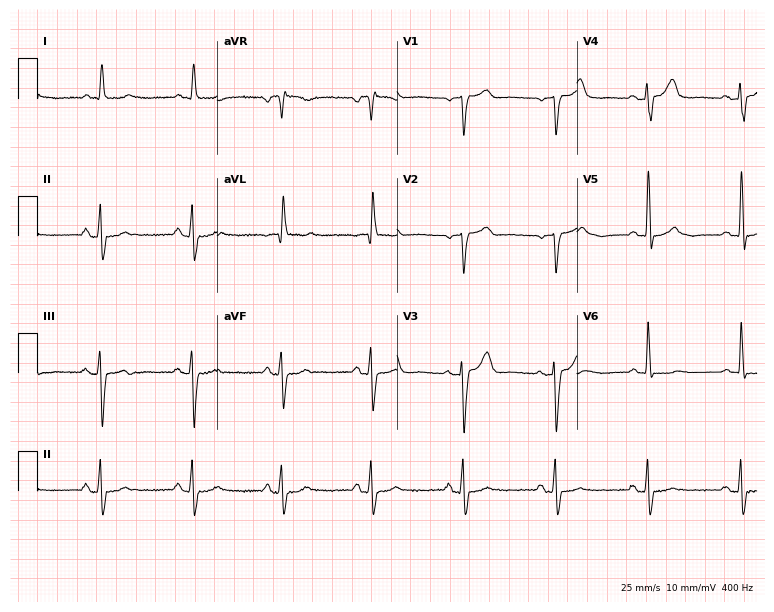
ECG — a female patient, 85 years old. Screened for six findings — first-degree AV block, right bundle branch block (RBBB), left bundle branch block (LBBB), sinus bradycardia, atrial fibrillation (AF), sinus tachycardia — none is recorded. Findings outside these six are not listed.